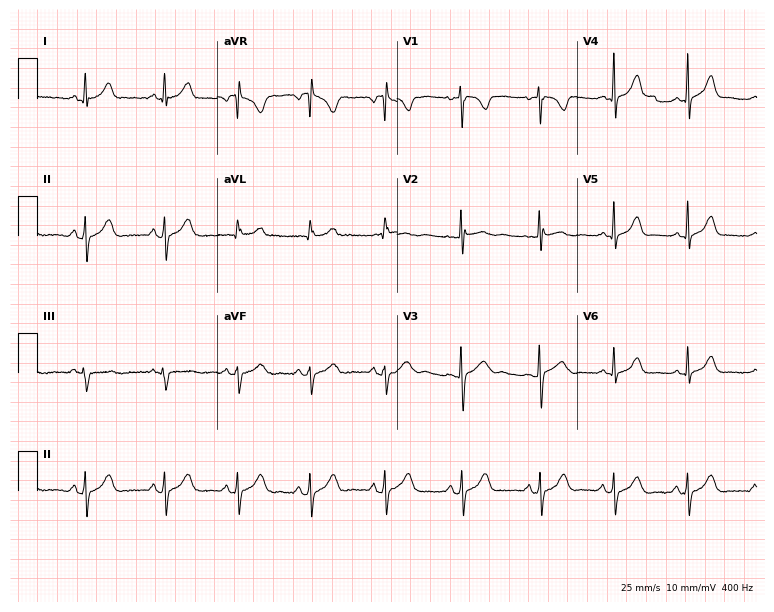
Resting 12-lead electrocardiogram. Patient: a woman, 18 years old. None of these six findings is recorded: first-degree AV block, right bundle branch block, left bundle branch block, sinus bradycardia, atrial fibrillation, sinus tachycardia.